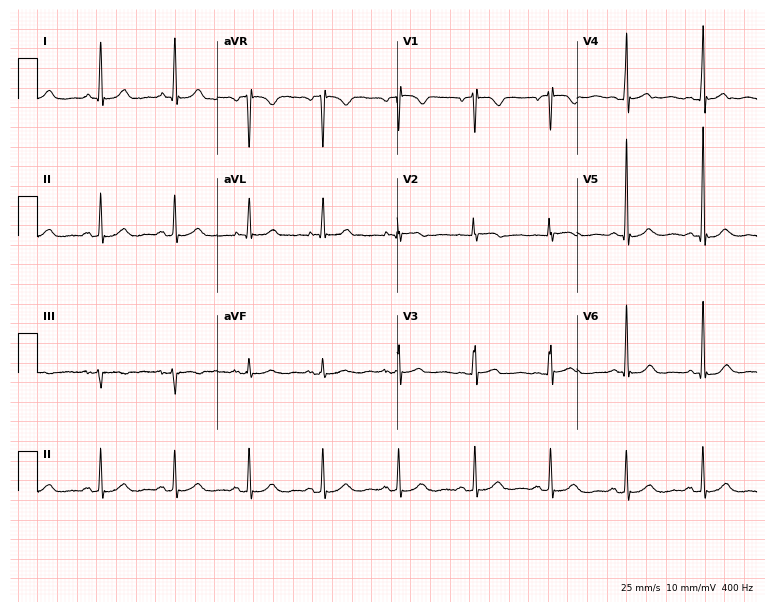
ECG — a woman, 63 years old. Screened for six findings — first-degree AV block, right bundle branch block, left bundle branch block, sinus bradycardia, atrial fibrillation, sinus tachycardia — none is recorded.